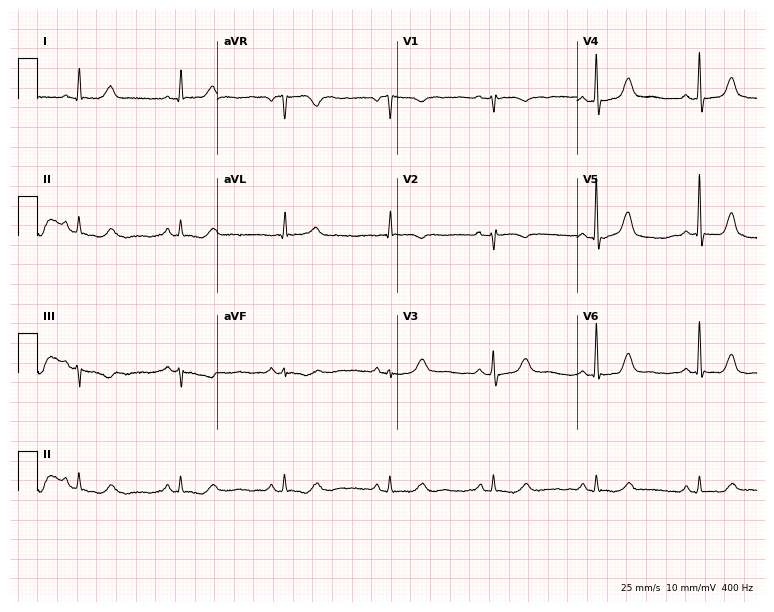
12-lead ECG (7.3-second recording at 400 Hz) from a female patient, 85 years old. Screened for six findings — first-degree AV block, right bundle branch block (RBBB), left bundle branch block (LBBB), sinus bradycardia, atrial fibrillation (AF), sinus tachycardia — none is recorded.